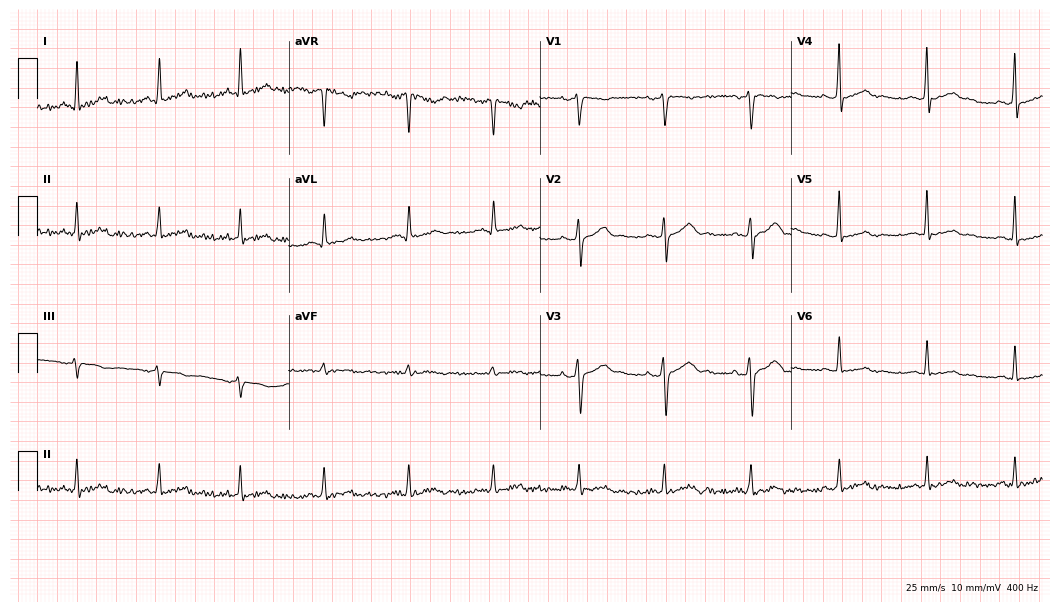
12-lead ECG from a 62-year-old man. Recorded interpretation: within normal limits.